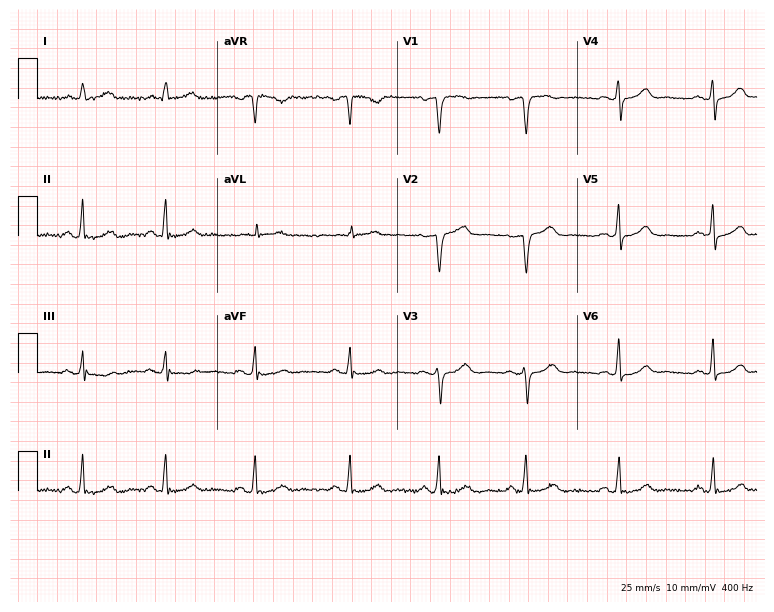
Standard 12-lead ECG recorded from a 63-year-old female patient. None of these six findings is recorded: first-degree AV block, right bundle branch block (RBBB), left bundle branch block (LBBB), sinus bradycardia, atrial fibrillation (AF), sinus tachycardia. Findings outside these six are not listed.